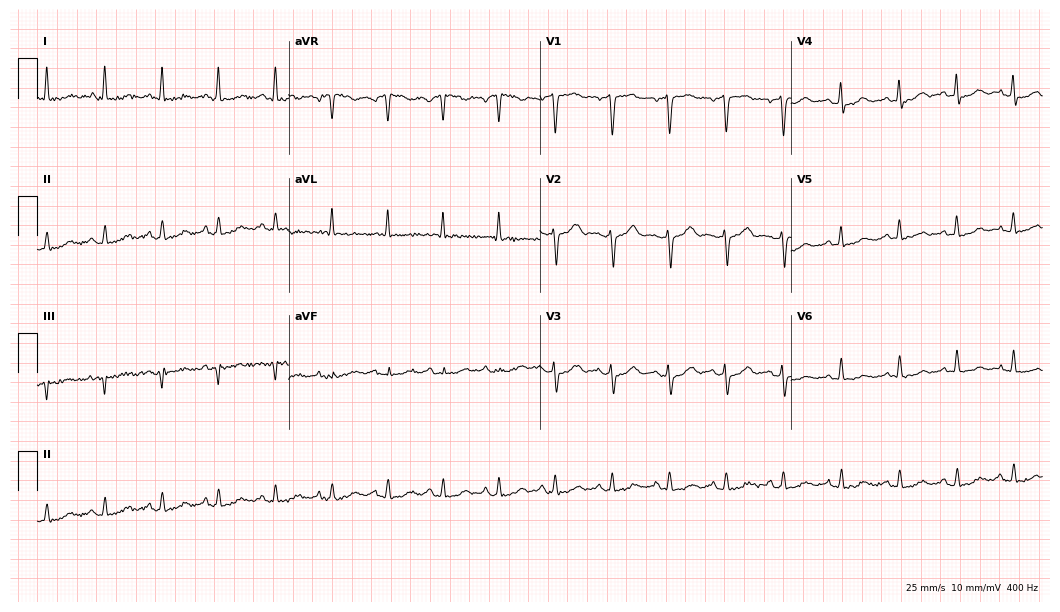
Resting 12-lead electrocardiogram (10.2-second recording at 400 Hz). Patient: a 29-year-old female. The tracing shows sinus tachycardia (a sinus rate of 100 beats per minute or more).